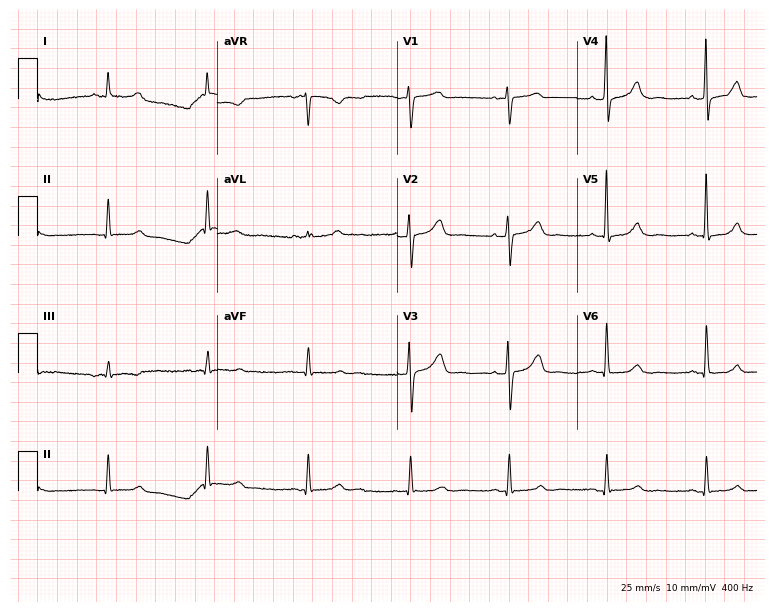
Electrocardiogram (7.3-second recording at 400 Hz), a 50-year-old female patient. Of the six screened findings (first-degree AV block, right bundle branch block, left bundle branch block, sinus bradycardia, atrial fibrillation, sinus tachycardia), none is recorded.